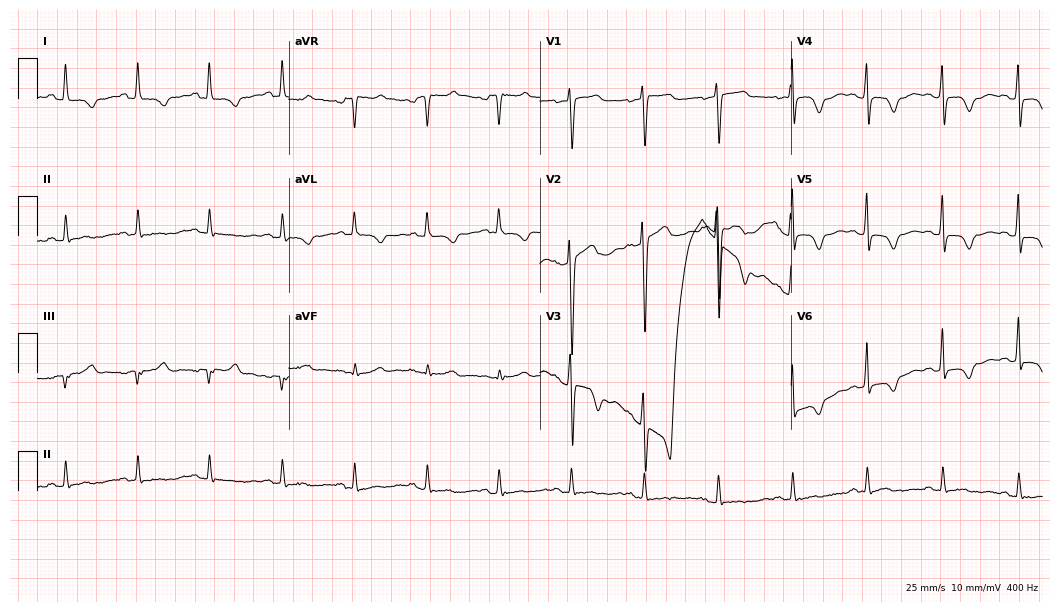
Standard 12-lead ECG recorded from a 72-year-old female (10.2-second recording at 400 Hz). None of these six findings is recorded: first-degree AV block, right bundle branch block, left bundle branch block, sinus bradycardia, atrial fibrillation, sinus tachycardia. Findings outside these six are not listed.